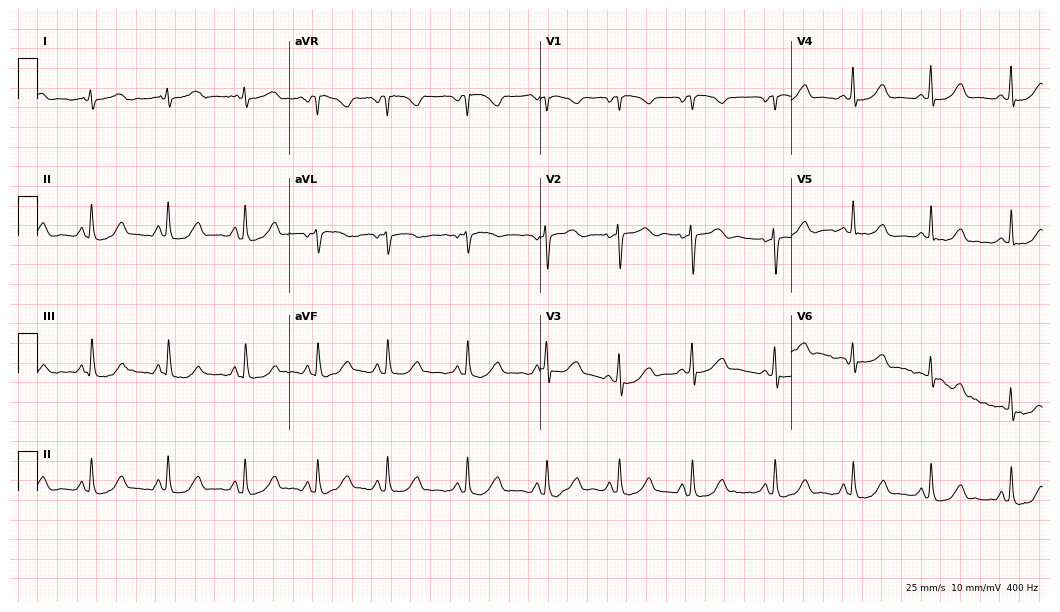
ECG (10.2-second recording at 400 Hz) — a 22-year-old female patient. Labelled as a normal ECG.